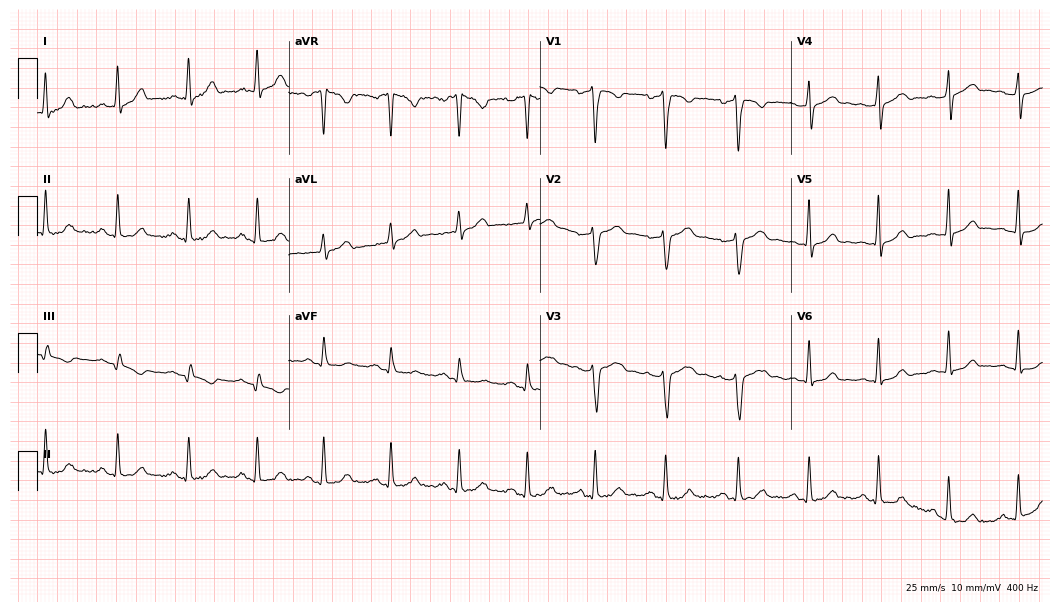
12-lead ECG from a female patient, 29 years old (10.2-second recording at 400 Hz). Recorded interpretation: within normal limits.